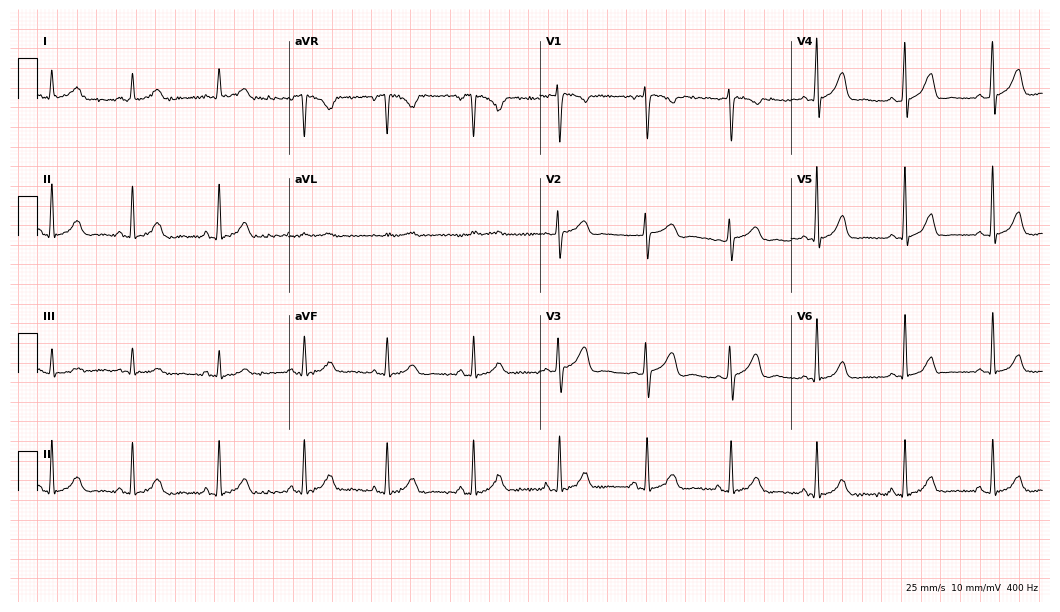
12-lead ECG from a female patient, 34 years old. Screened for six findings — first-degree AV block, right bundle branch block, left bundle branch block, sinus bradycardia, atrial fibrillation, sinus tachycardia — none is recorded. Only these six findings were labelled.